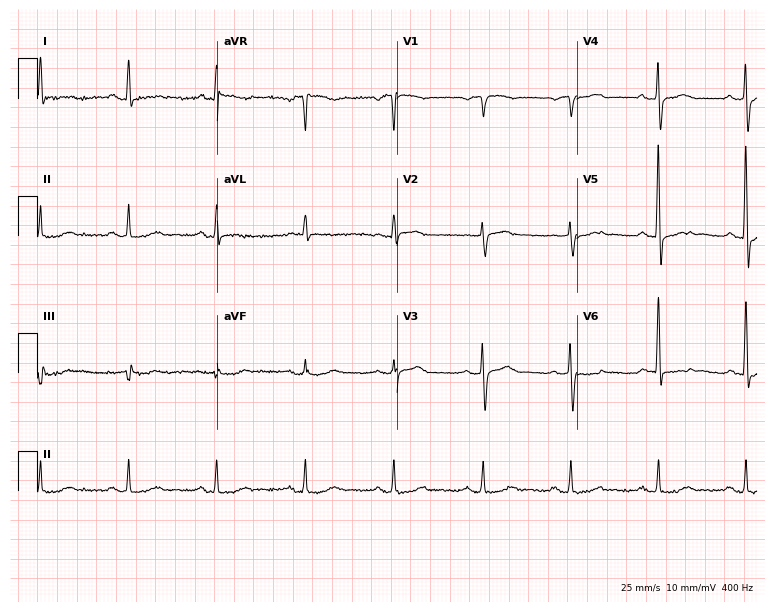
Resting 12-lead electrocardiogram. Patient: a 70-year-old male. None of these six findings is recorded: first-degree AV block, right bundle branch block, left bundle branch block, sinus bradycardia, atrial fibrillation, sinus tachycardia. Only these six findings were labelled.